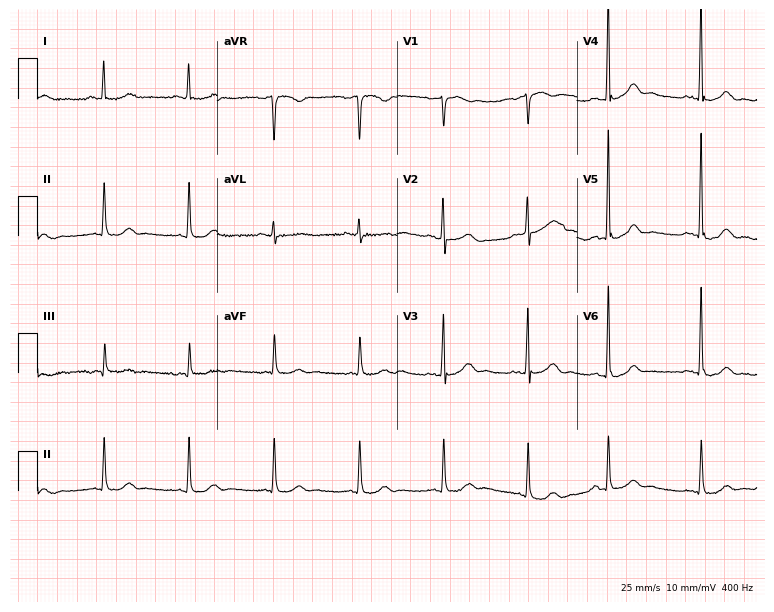
Resting 12-lead electrocardiogram (7.3-second recording at 400 Hz). Patient: a woman, 75 years old. Read as a normal ECG.